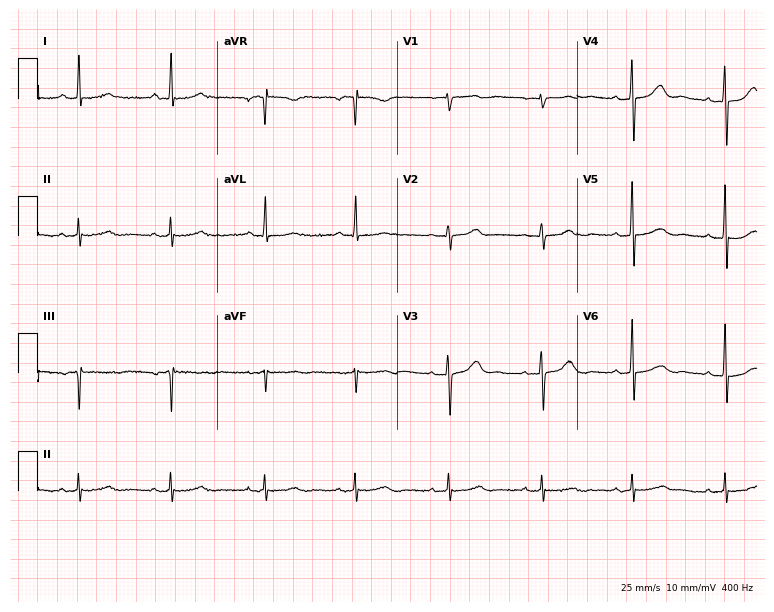
Electrocardiogram (7.3-second recording at 400 Hz), a female, 69 years old. Overall reading on record: normal ECG.